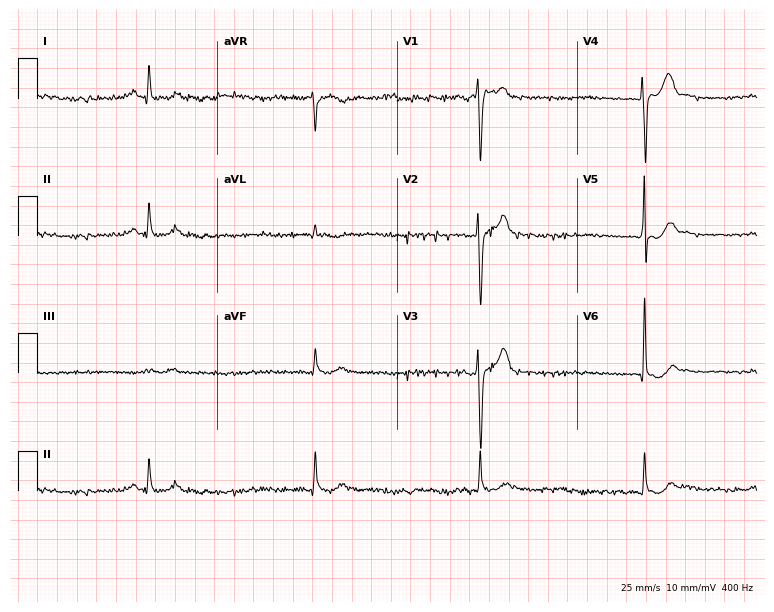
12-lead ECG from a 65-year-old male patient. Screened for six findings — first-degree AV block, right bundle branch block, left bundle branch block, sinus bradycardia, atrial fibrillation, sinus tachycardia — none is recorded. Findings outside these six are not listed.